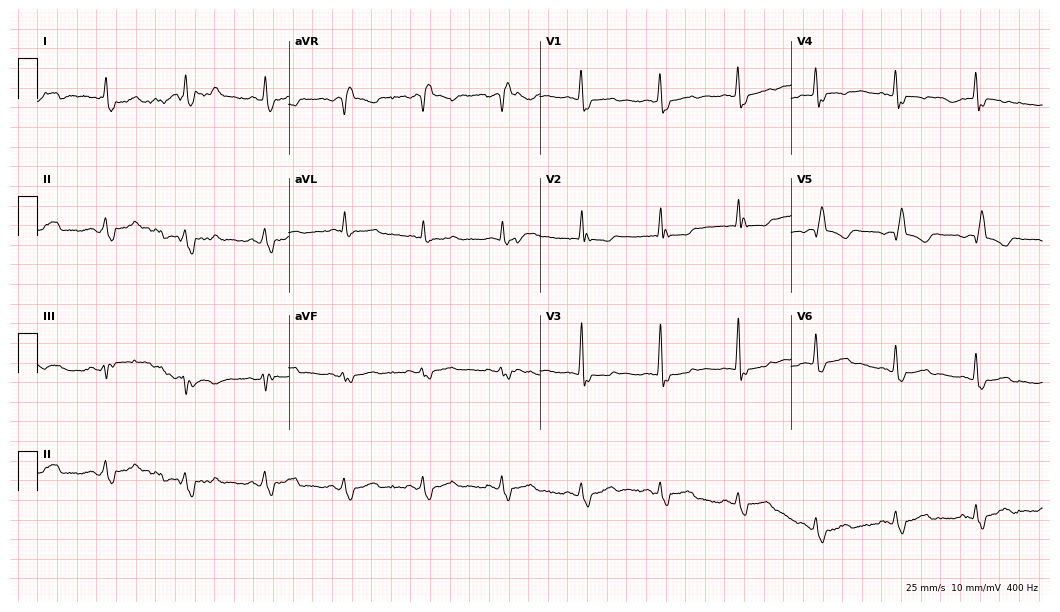
ECG — a 76-year-old woman. Screened for six findings — first-degree AV block, right bundle branch block (RBBB), left bundle branch block (LBBB), sinus bradycardia, atrial fibrillation (AF), sinus tachycardia — none is recorded. Only these six findings were labelled.